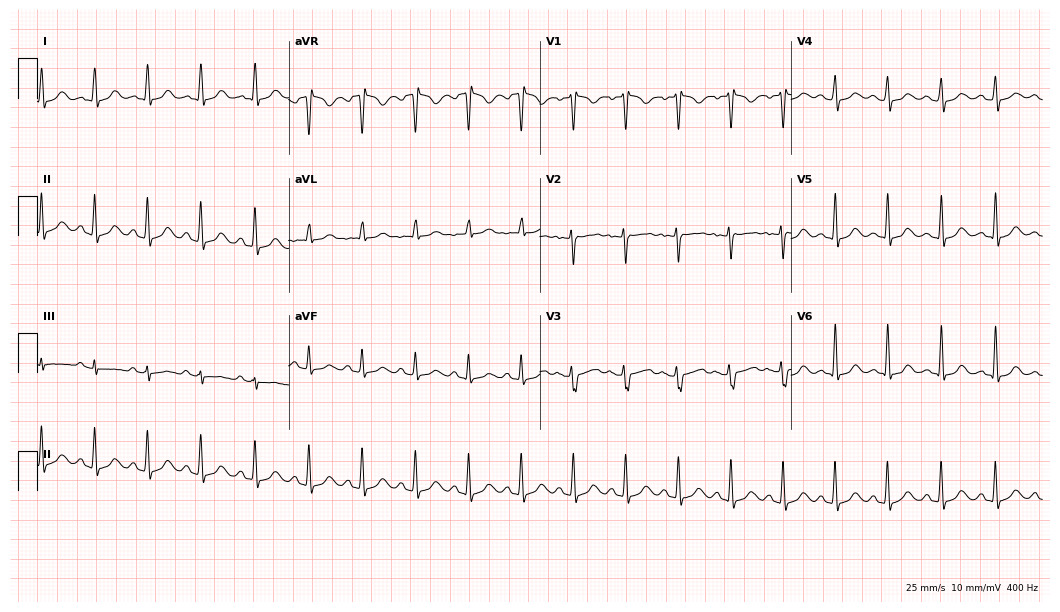
Standard 12-lead ECG recorded from a female patient, 24 years old. The tracing shows sinus tachycardia (a sinus rate of 100 beats per minute or more).